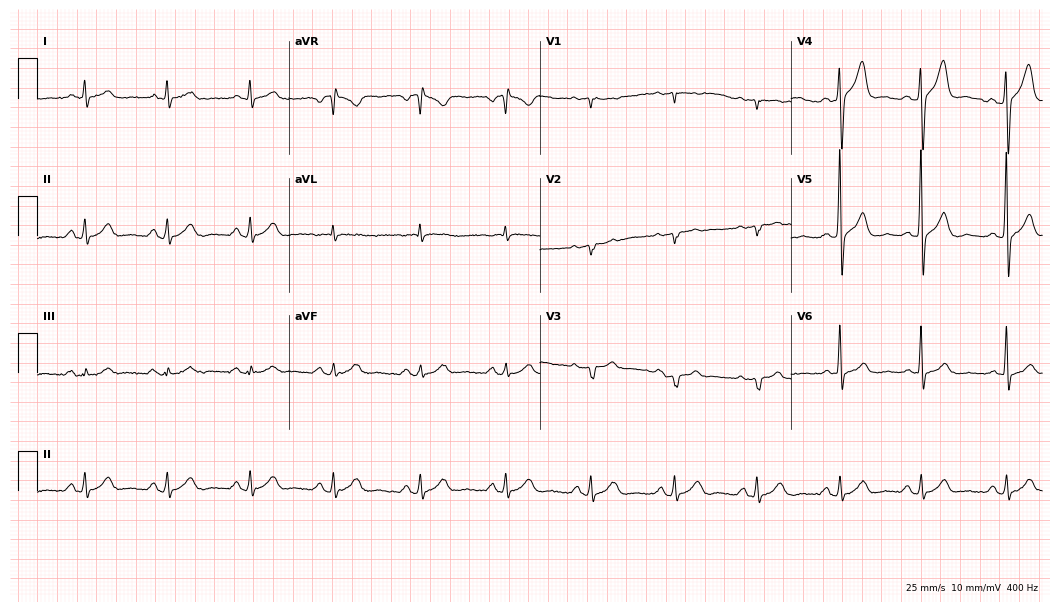
Standard 12-lead ECG recorded from a male, 54 years old (10.2-second recording at 400 Hz). None of these six findings is recorded: first-degree AV block, right bundle branch block, left bundle branch block, sinus bradycardia, atrial fibrillation, sinus tachycardia.